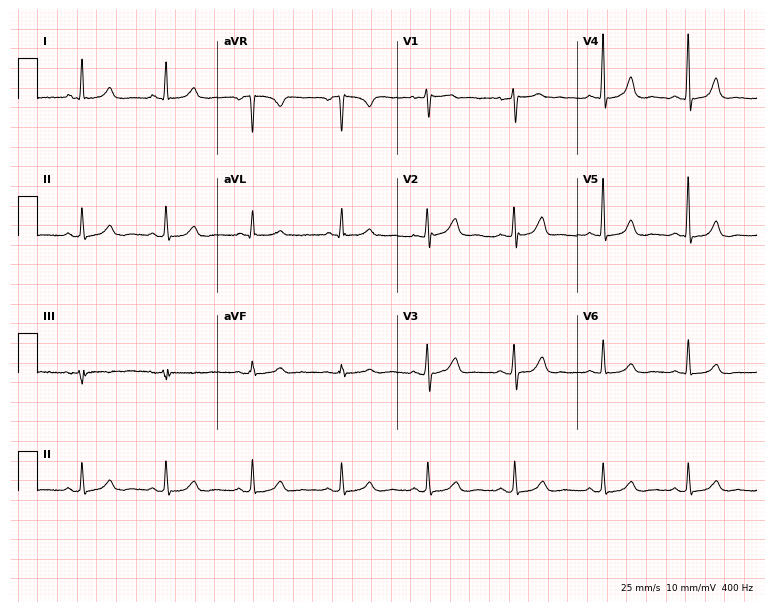
Standard 12-lead ECG recorded from a woman, 47 years old (7.3-second recording at 400 Hz). Read as a normal ECG.